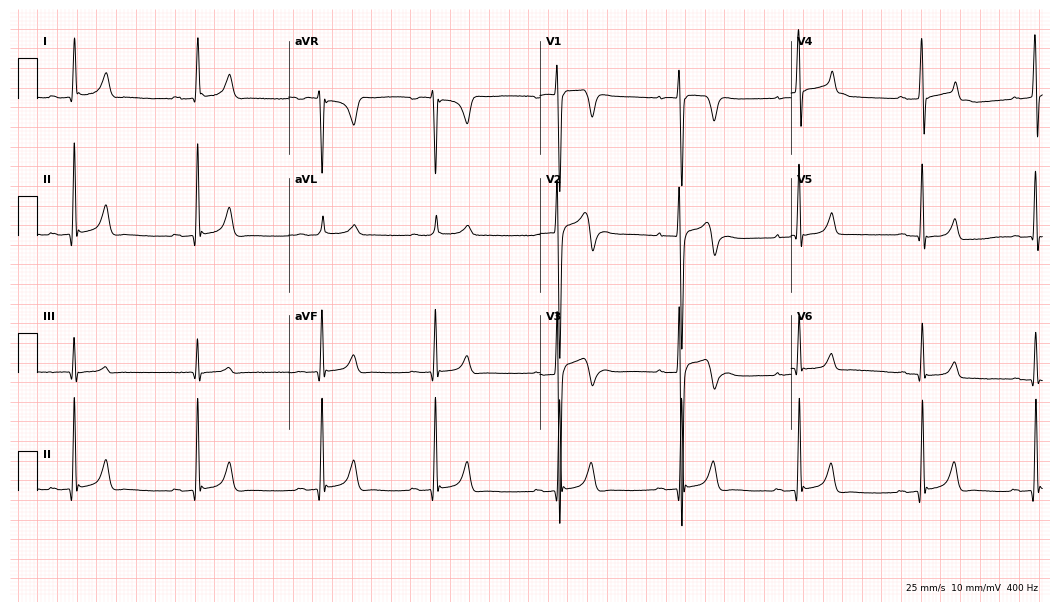
Resting 12-lead electrocardiogram (10.2-second recording at 400 Hz). Patient: a male, 19 years old. Read as a normal ECG.